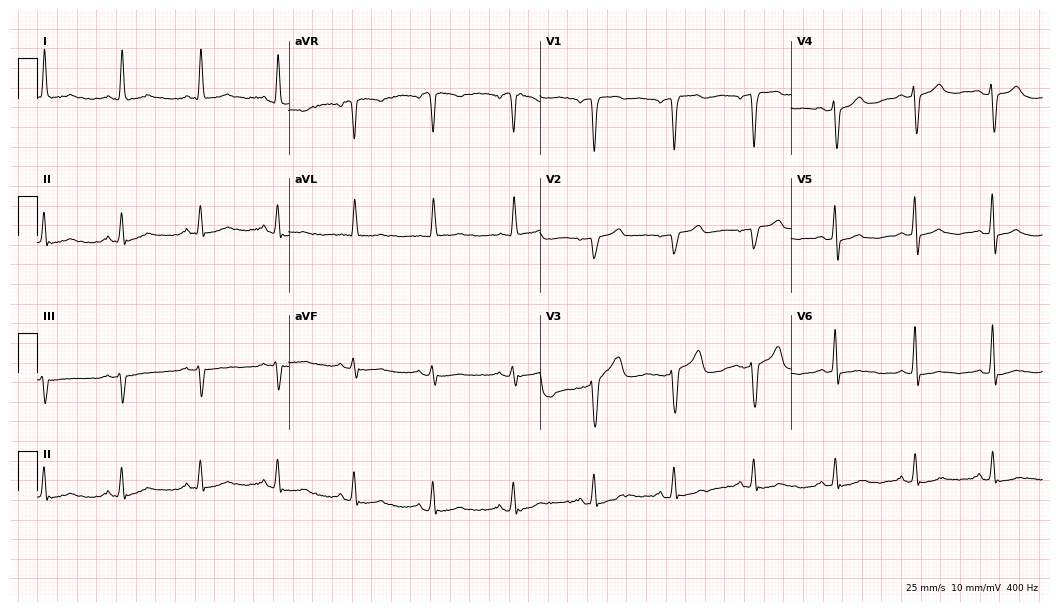
Resting 12-lead electrocardiogram. Patient: a 71-year-old female. None of these six findings is recorded: first-degree AV block, right bundle branch block, left bundle branch block, sinus bradycardia, atrial fibrillation, sinus tachycardia. Other findings, if any, are not listed.